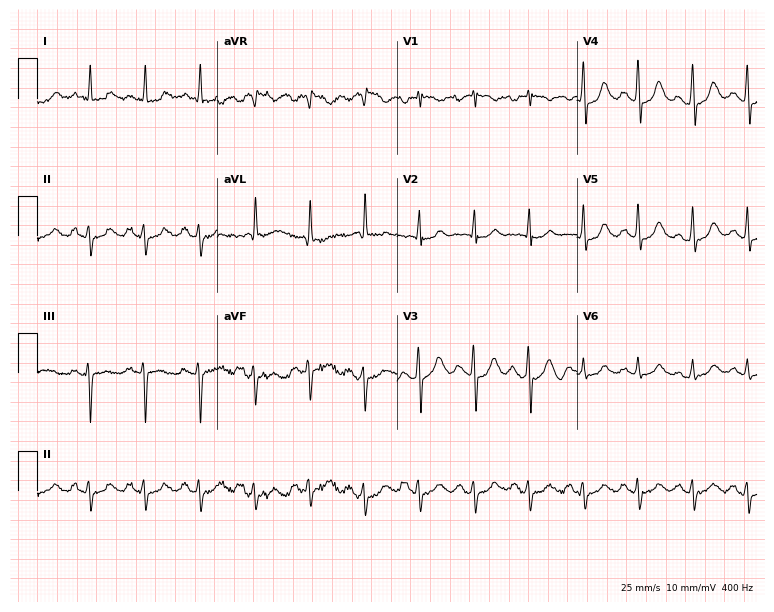
12-lead ECG from a woman, 64 years old (7.3-second recording at 400 Hz). No first-degree AV block, right bundle branch block, left bundle branch block, sinus bradycardia, atrial fibrillation or sinus tachycardia recorded for this tracing. Only these six findings were labelled.